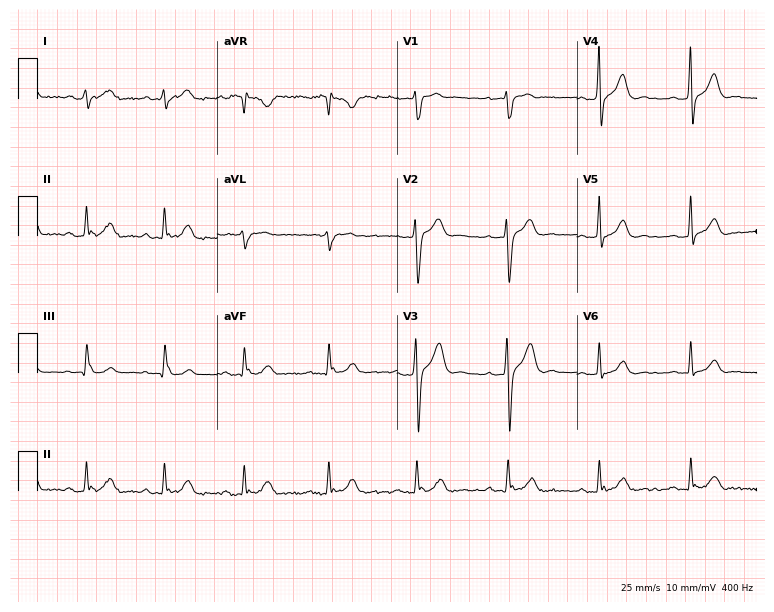
ECG (7.3-second recording at 400 Hz) — a 39-year-old man. Screened for six findings — first-degree AV block, right bundle branch block, left bundle branch block, sinus bradycardia, atrial fibrillation, sinus tachycardia — none is recorded.